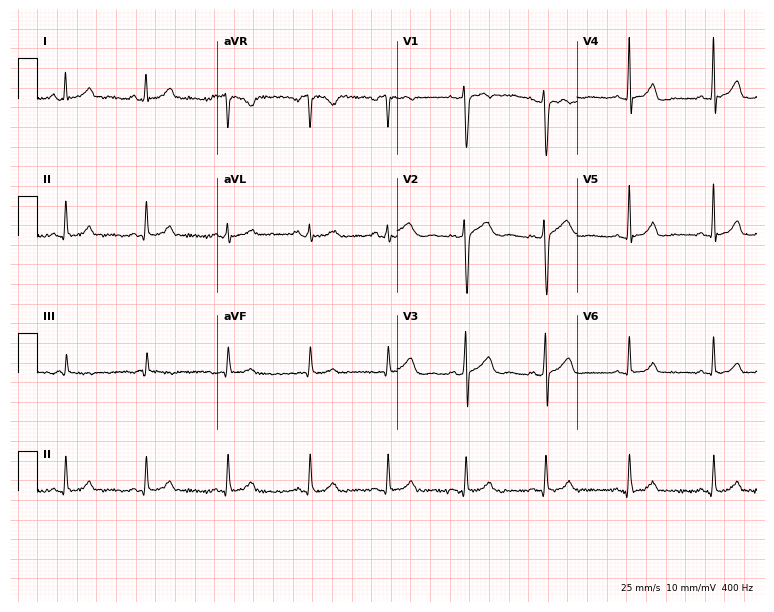
Electrocardiogram (7.3-second recording at 400 Hz), a 32-year-old female. Overall reading on record: normal ECG.